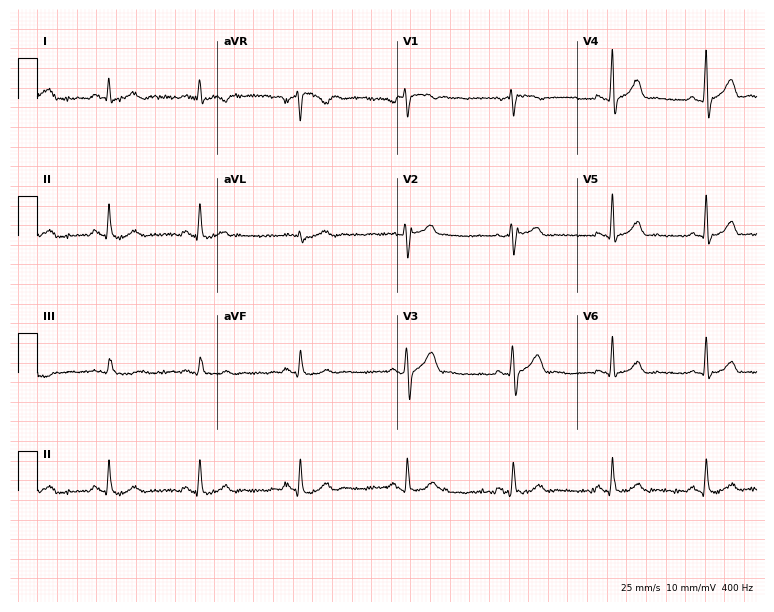
Electrocardiogram, a 48-year-old man. Of the six screened findings (first-degree AV block, right bundle branch block (RBBB), left bundle branch block (LBBB), sinus bradycardia, atrial fibrillation (AF), sinus tachycardia), none is recorded.